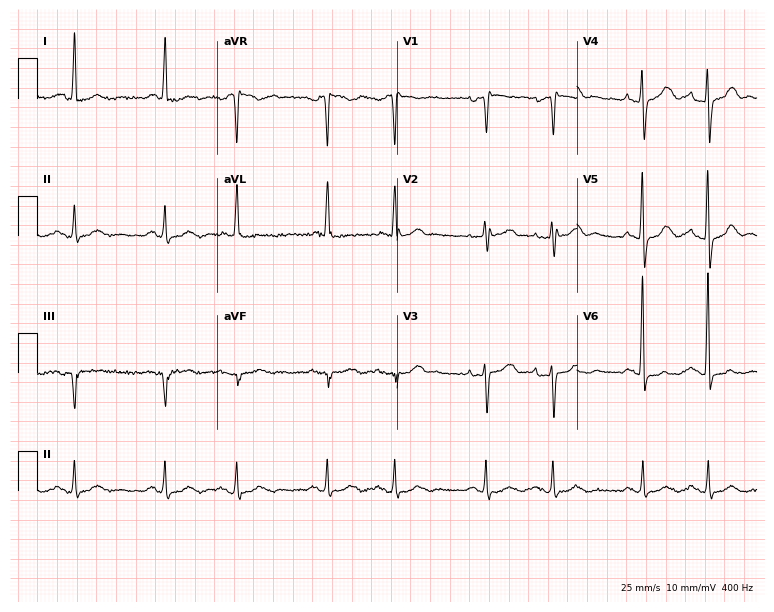
12-lead ECG from a man, 83 years old (7.3-second recording at 400 Hz). No first-degree AV block, right bundle branch block (RBBB), left bundle branch block (LBBB), sinus bradycardia, atrial fibrillation (AF) or sinus tachycardia recorded for this tracing. Other findings, if any, are not listed.